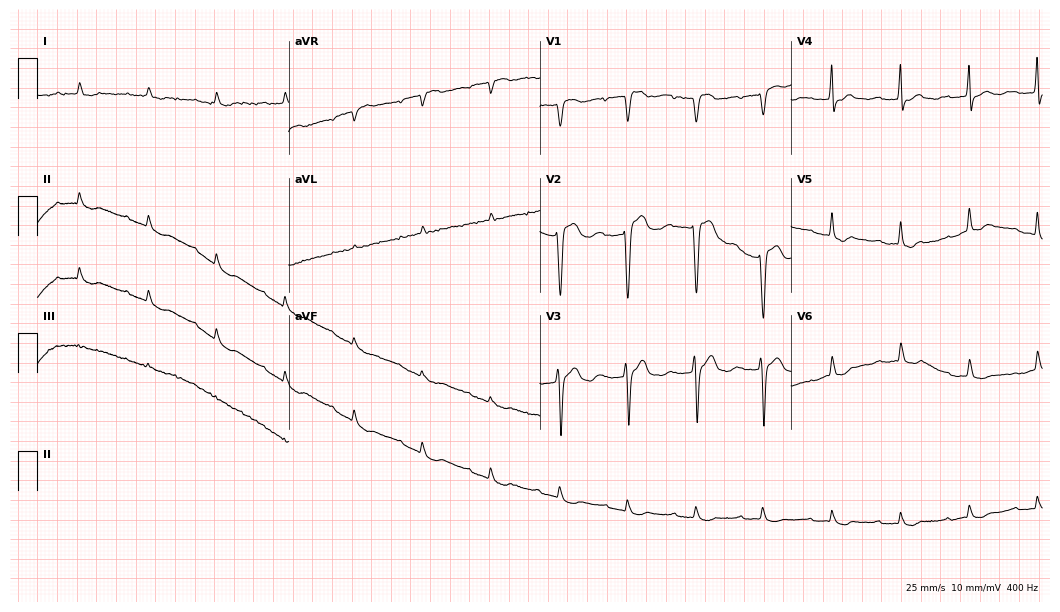
Standard 12-lead ECG recorded from an 83-year-old female (10.2-second recording at 400 Hz). None of these six findings is recorded: first-degree AV block, right bundle branch block, left bundle branch block, sinus bradycardia, atrial fibrillation, sinus tachycardia.